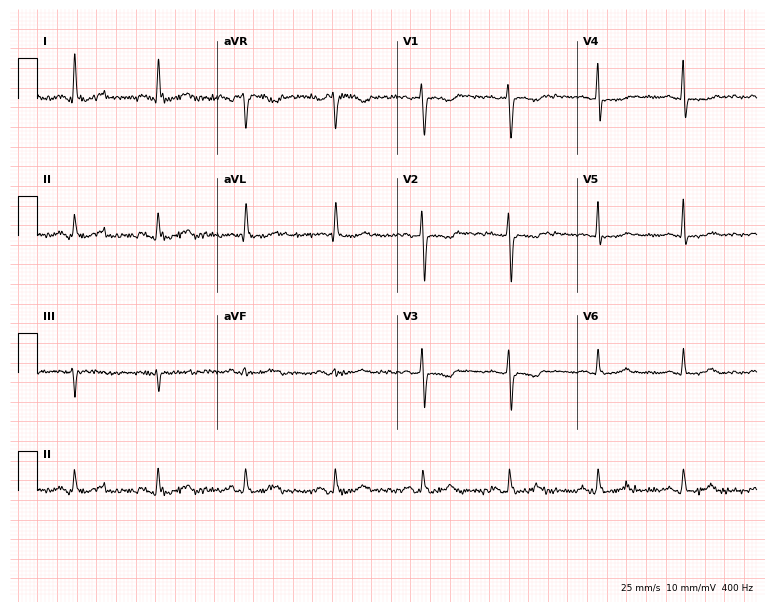
ECG — a 54-year-old female patient. Labelled as a normal ECG.